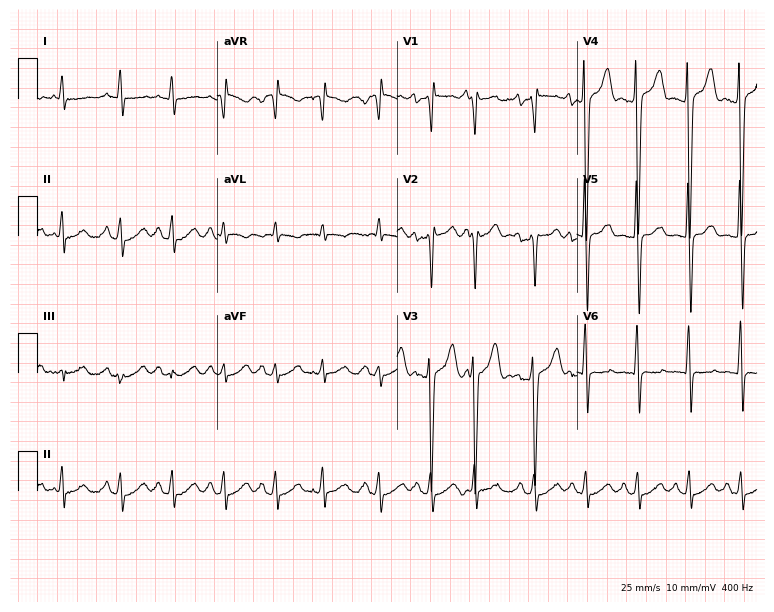
ECG — a male, 60 years old. Findings include sinus tachycardia (a sinus rate of 100 beats per minute or more).